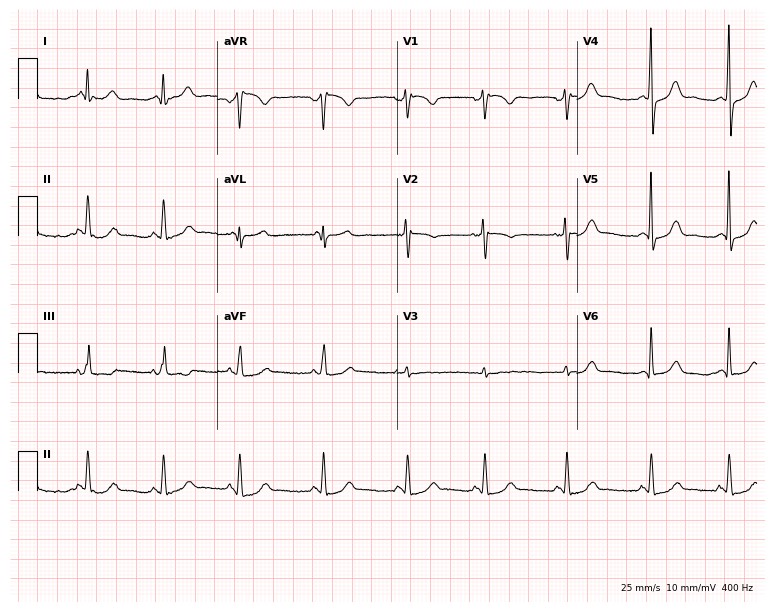
Standard 12-lead ECG recorded from a 19-year-old female patient (7.3-second recording at 400 Hz). None of these six findings is recorded: first-degree AV block, right bundle branch block (RBBB), left bundle branch block (LBBB), sinus bradycardia, atrial fibrillation (AF), sinus tachycardia. Findings outside these six are not listed.